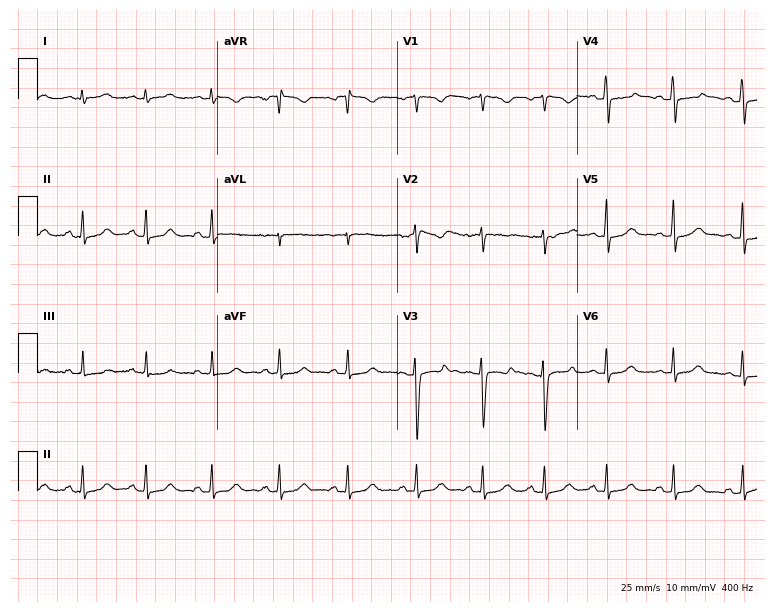
Standard 12-lead ECG recorded from a female patient, 27 years old (7.3-second recording at 400 Hz). Read as a normal ECG.